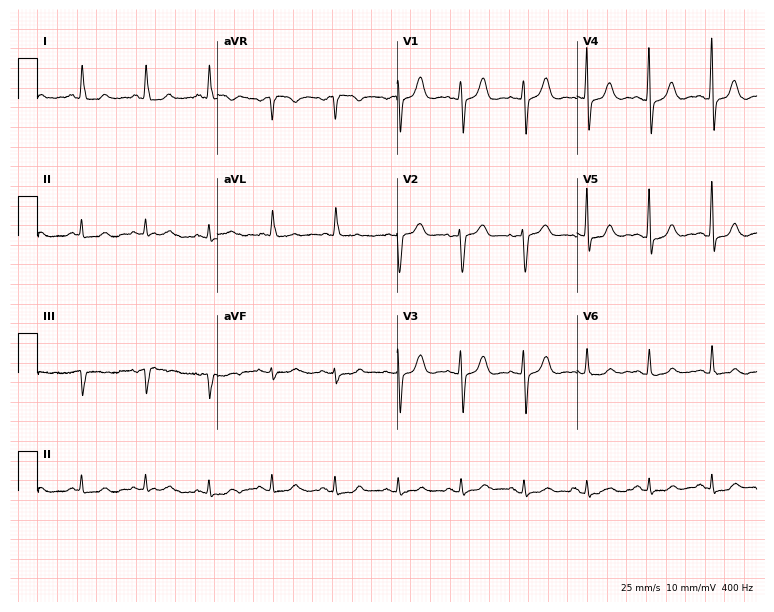
Resting 12-lead electrocardiogram. Patient: a 67-year-old woman. Read as a normal ECG.